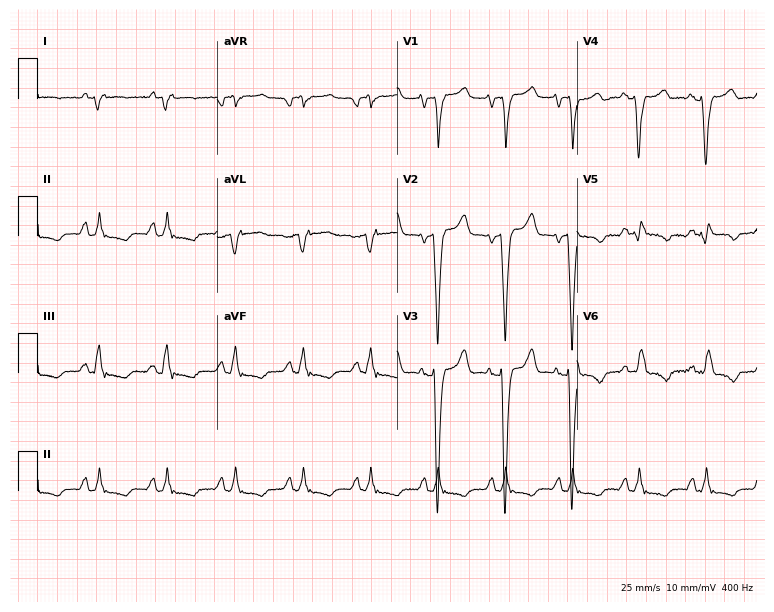
12-lead ECG (7.3-second recording at 400 Hz) from a 58-year-old male. Findings include left bundle branch block.